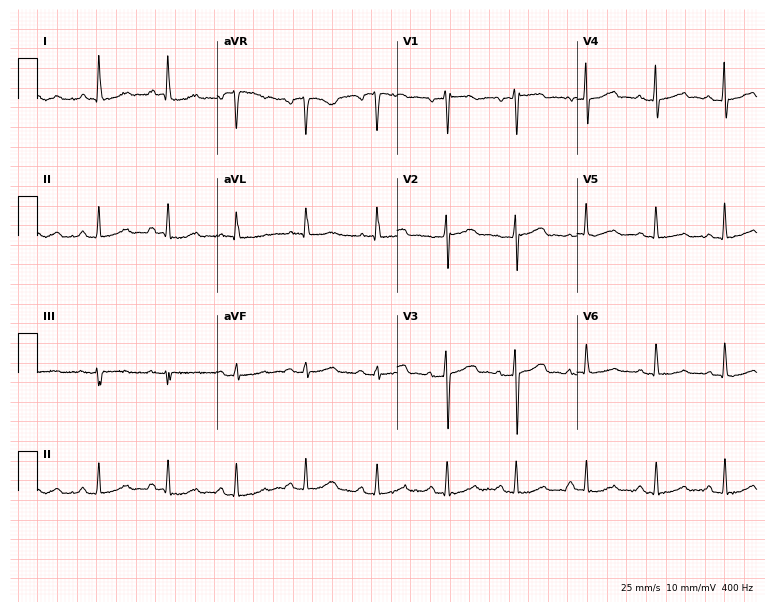
Resting 12-lead electrocardiogram (7.3-second recording at 400 Hz). Patient: a female, 61 years old. Read as a normal ECG.